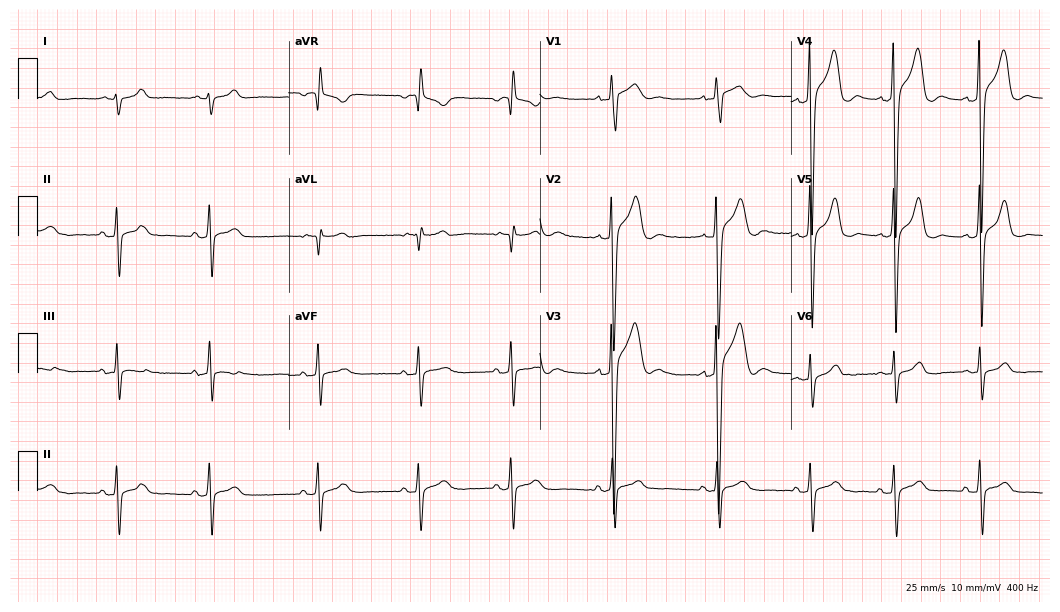
Resting 12-lead electrocardiogram. Patient: a male, 20 years old. None of these six findings is recorded: first-degree AV block, right bundle branch block, left bundle branch block, sinus bradycardia, atrial fibrillation, sinus tachycardia.